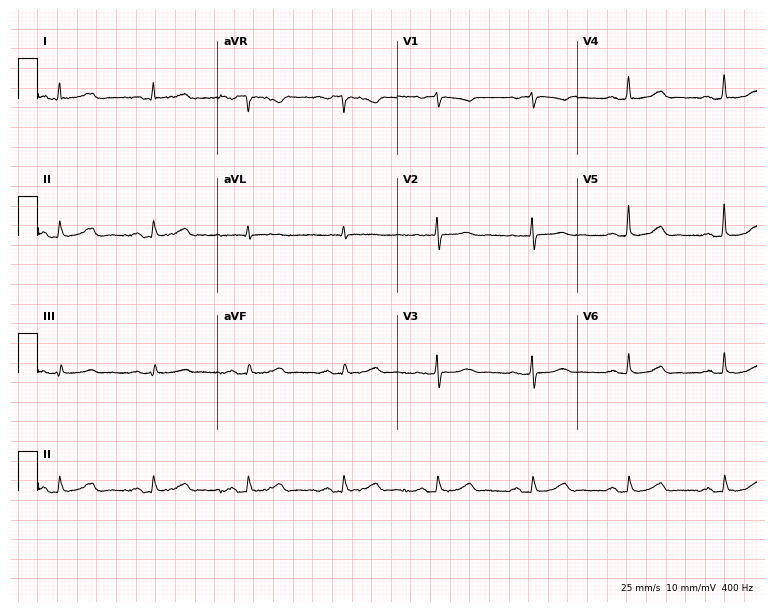
Standard 12-lead ECG recorded from a 69-year-old female (7.3-second recording at 400 Hz). None of these six findings is recorded: first-degree AV block, right bundle branch block, left bundle branch block, sinus bradycardia, atrial fibrillation, sinus tachycardia.